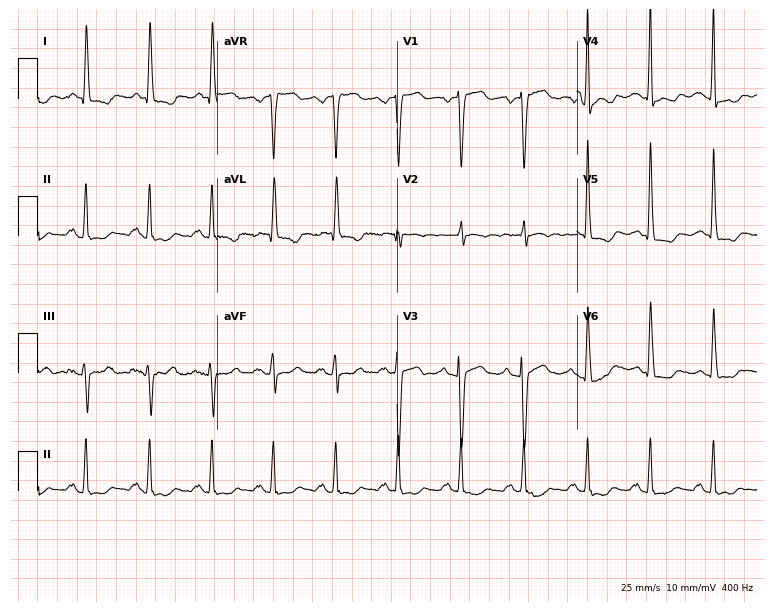
Electrocardiogram, a 74-year-old female. Of the six screened findings (first-degree AV block, right bundle branch block, left bundle branch block, sinus bradycardia, atrial fibrillation, sinus tachycardia), none is recorded.